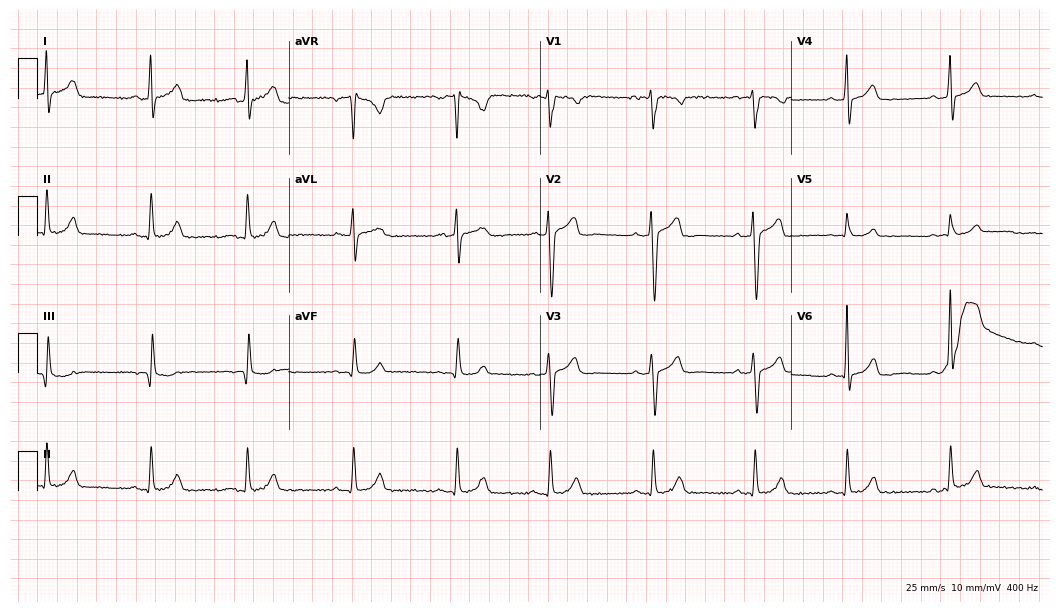
12-lead ECG from a 35-year-old male. Labelled as a normal ECG.